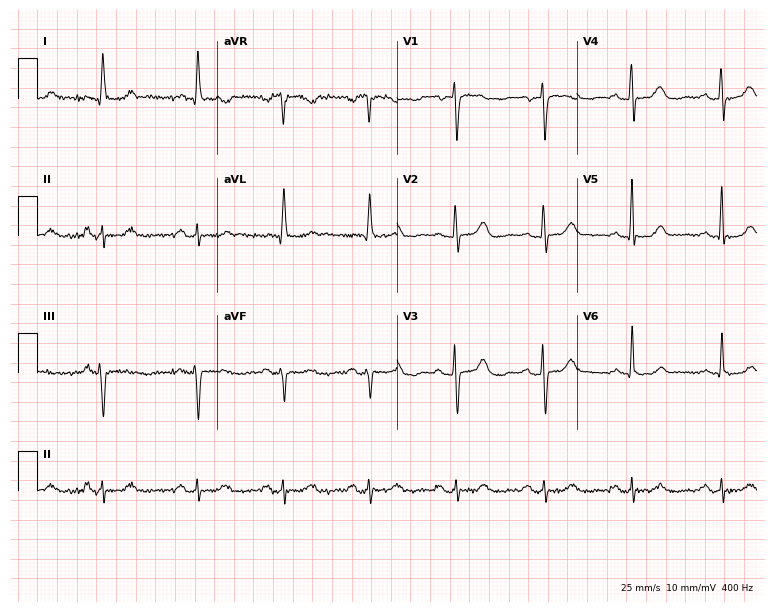
12-lead ECG from a woman, 72 years old. Recorded interpretation: within normal limits.